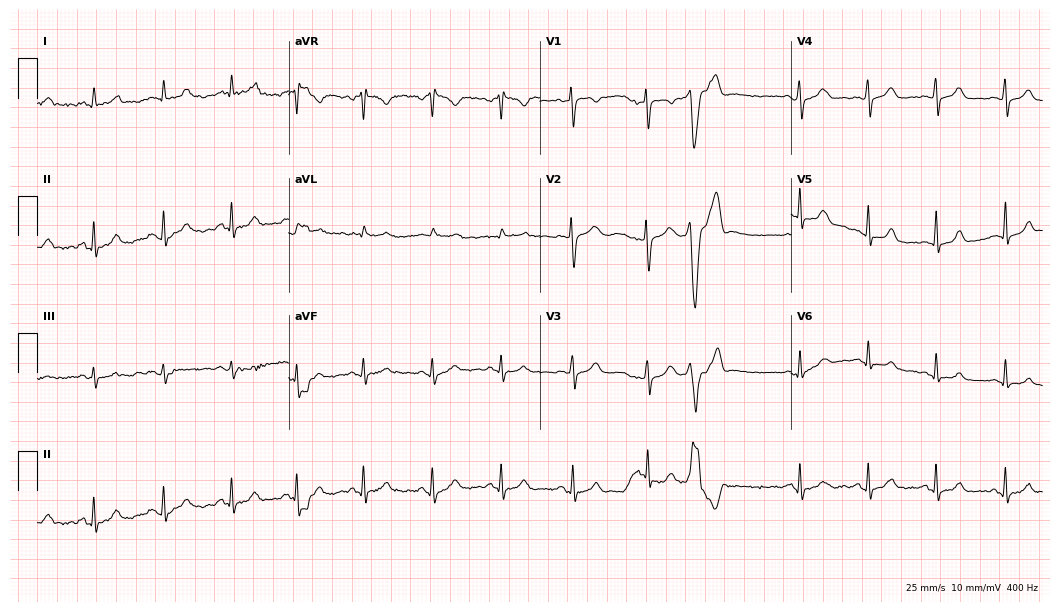
Electrocardiogram (10.2-second recording at 400 Hz), a 49-year-old woman. Overall reading on record: normal ECG.